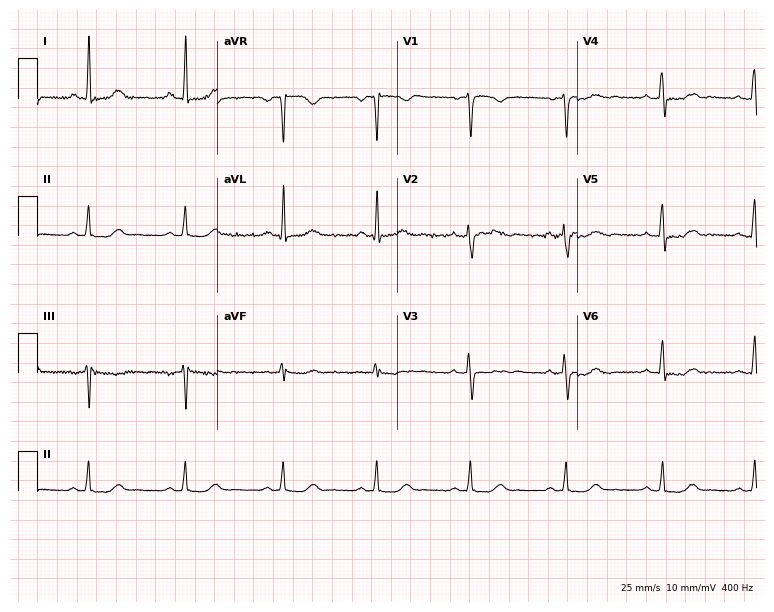
Resting 12-lead electrocardiogram. Patient: a female, 45 years old. None of these six findings is recorded: first-degree AV block, right bundle branch block, left bundle branch block, sinus bradycardia, atrial fibrillation, sinus tachycardia.